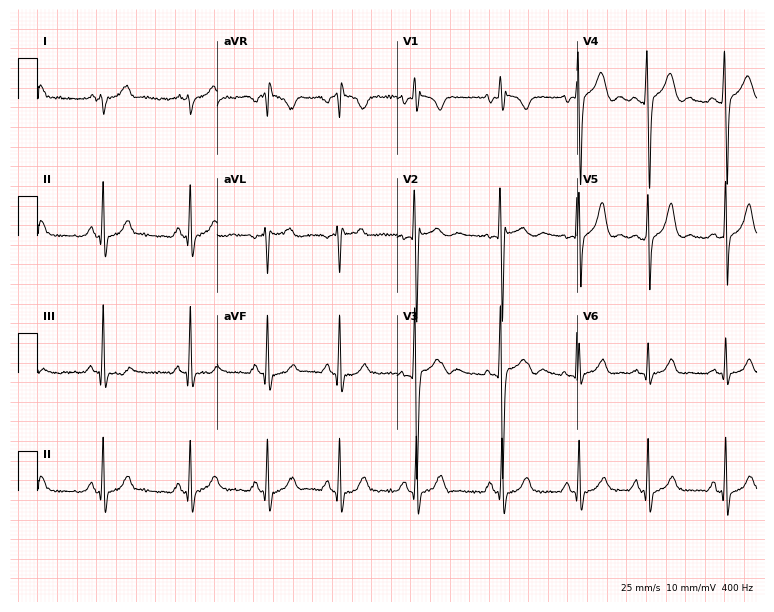
Electrocardiogram, a female patient, 18 years old. Overall reading on record: normal ECG.